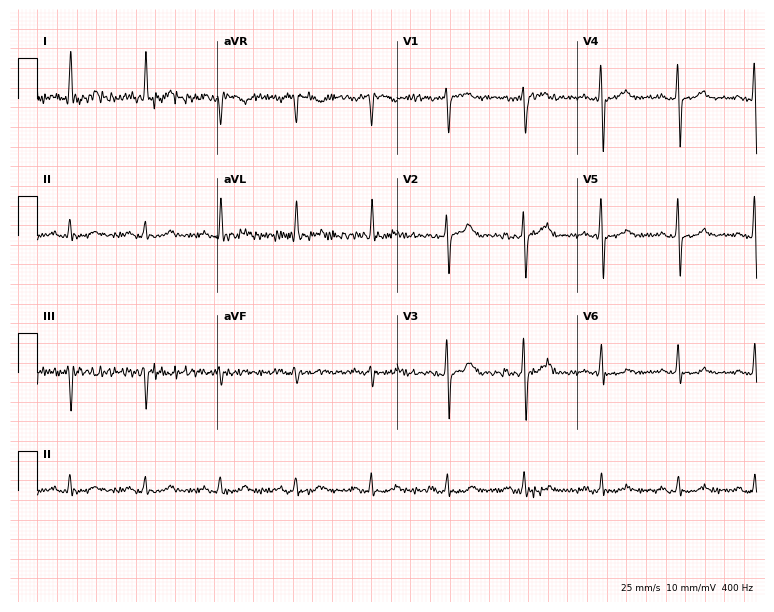
ECG (7.3-second recording at 400 Hz) — a 52-year-old male patient. Screened for six findings — first-degree AV block, right bundle branch block, left bundle branch block, sinus bradycardia, atrial fibrillation, sinus tachycardia — none is recorded. Findings outside these six are not listed.